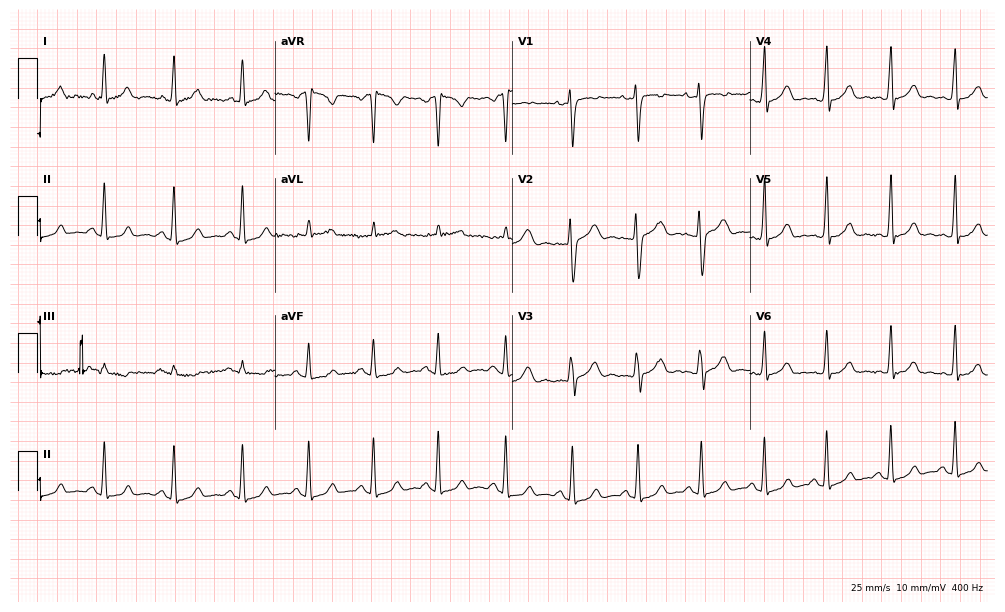
12-lead ECG from a woman, 27 years old. Labelled as a normal ECG.